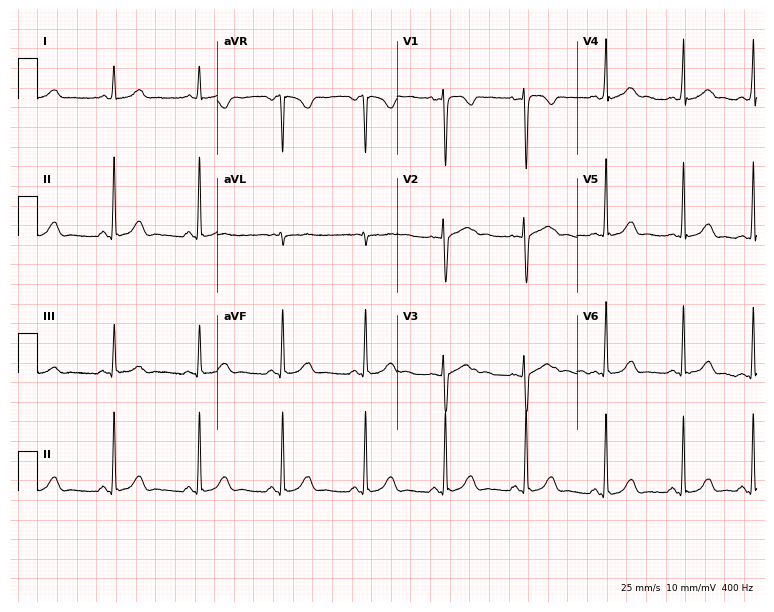
12-lead ECG from a female, 23 years old (7.3-second recording at 400 Hz). Recorded interpretation: within normal limits.